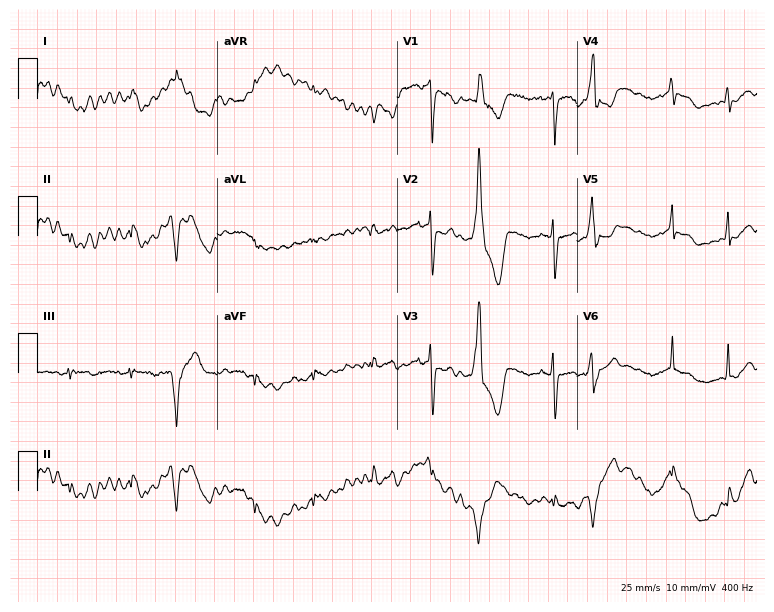
12-lead ECG from a woman, 37 years old (7.3-second recording at 400 Hz). No first-degree AV block, right bundle branch block, left bundle branch block, sinus bradycardia, atrial fibrillation or sinus tachycardia recorded for this tracing. Other findings, if any, are not listed.